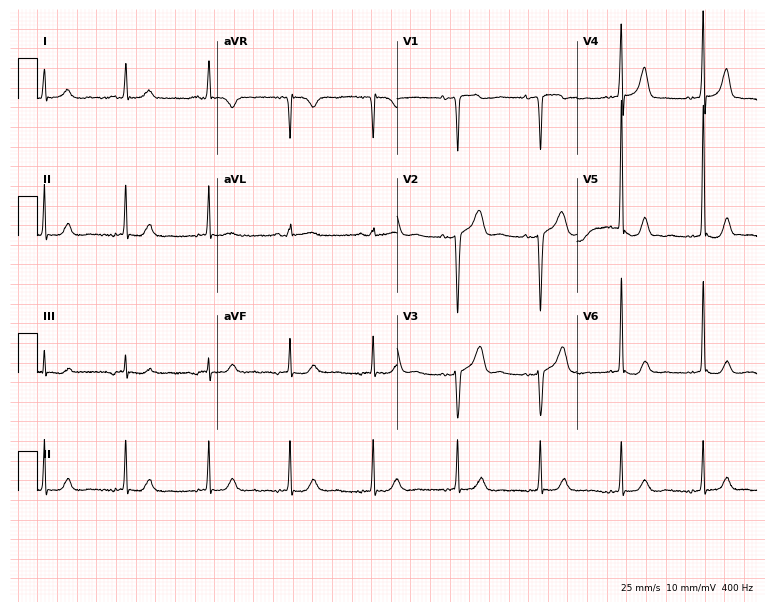
Resting 12-lead electrocardiogram (7.3-second recording at 400 Hz). Patient: a 77-year-old female. Read as a normal ECG.